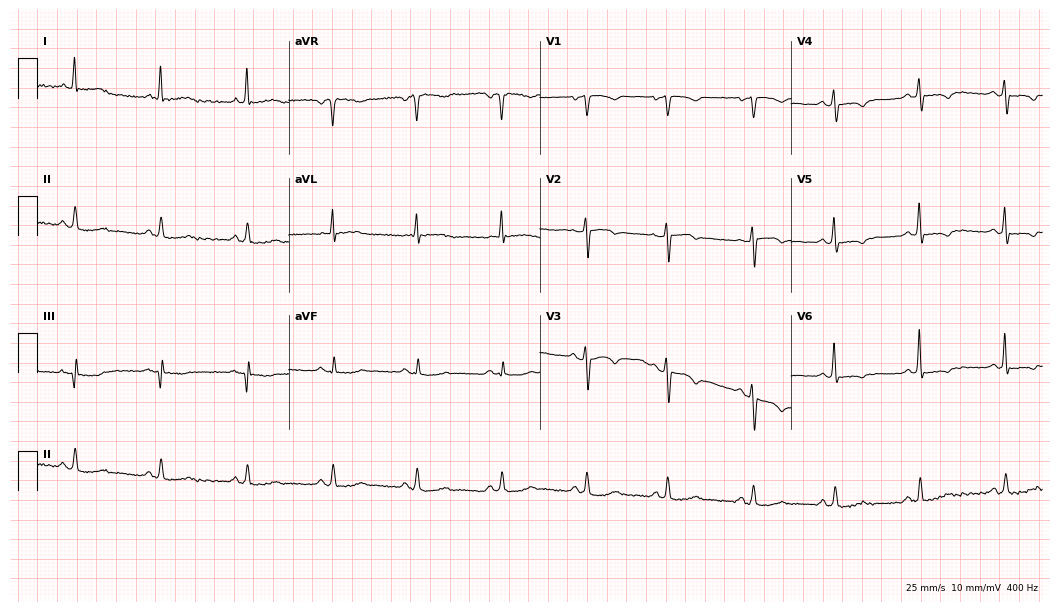
12-lead ECG from a man, 75 years old. Screened for six findings — first-degree AV block, right bundle branch block (RBBB), left bundle branch block (LBBB), sinus bradycardia, atrial fibrillation (AF), sinus tachycardia — none is recorded. Findings outside these six are not listed.